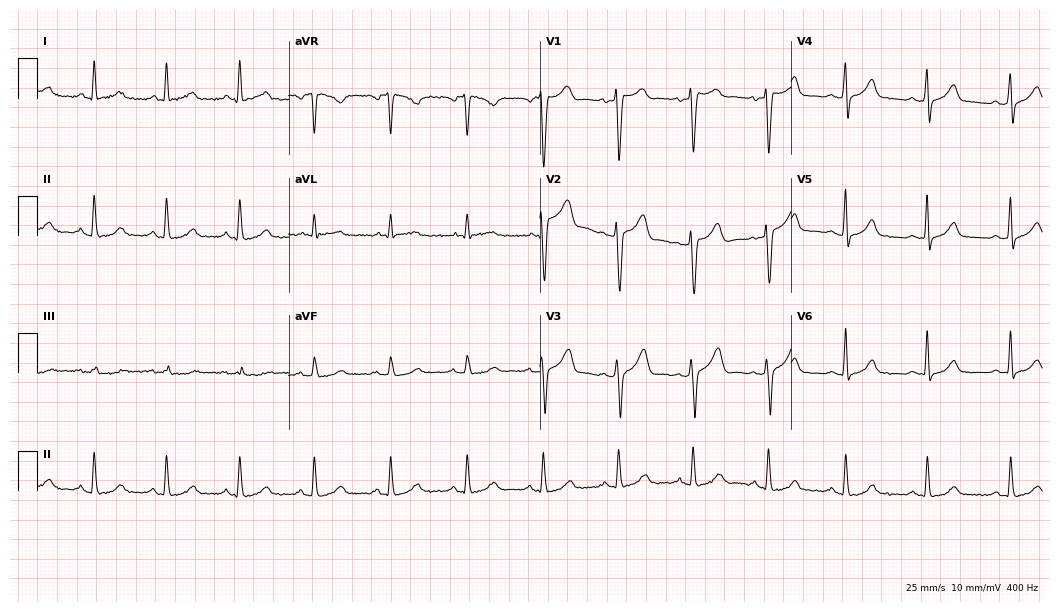
Standard 12-lead ECG recorded from a male, 37 years old. None of these six findings is recorded: first-degree AV block, right bundle branch block, left bundle branch block, sinus bradycardia, atrial fibrillation, sinus tachycardia. Other findings, if any, are not listed.